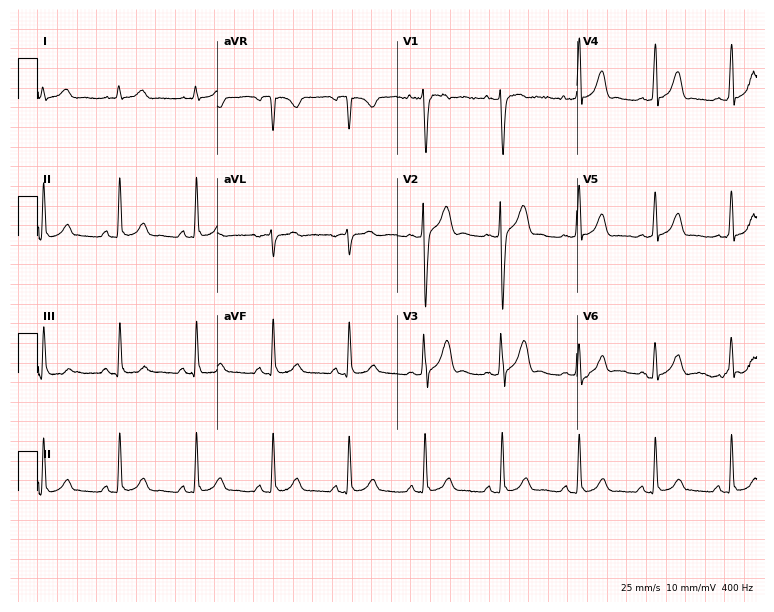
Resting 12-lead electrocardiogram (7.3-second recording at 400 Hz). Patient: a man, 23 years old. Read as a normal ECG.